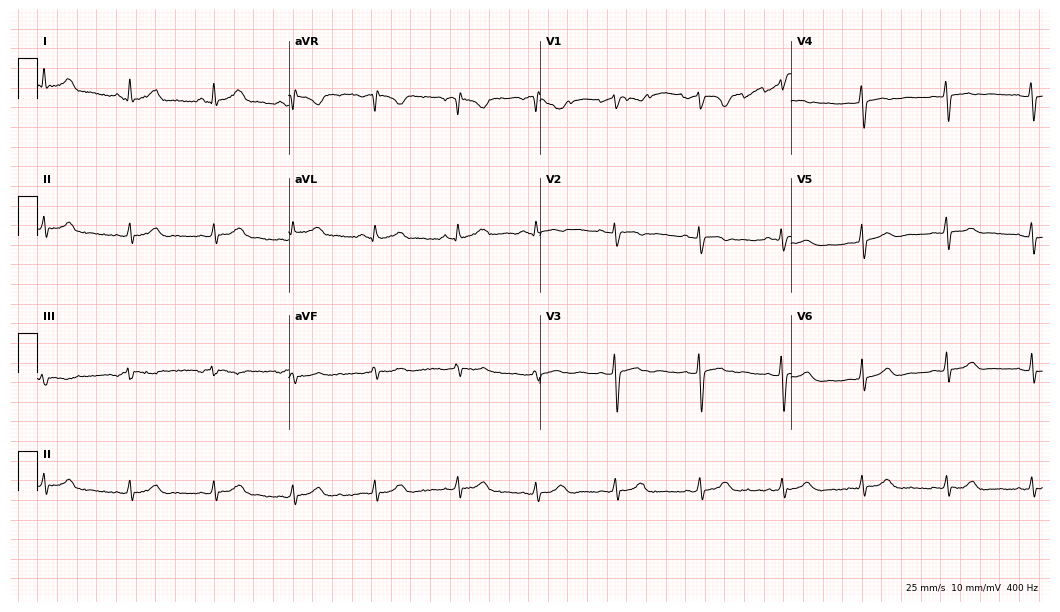
12-lead ECG from a female patient, 21 years old (10.2-second recording at 400 Hz). Recorded interpretation: within normal limits.